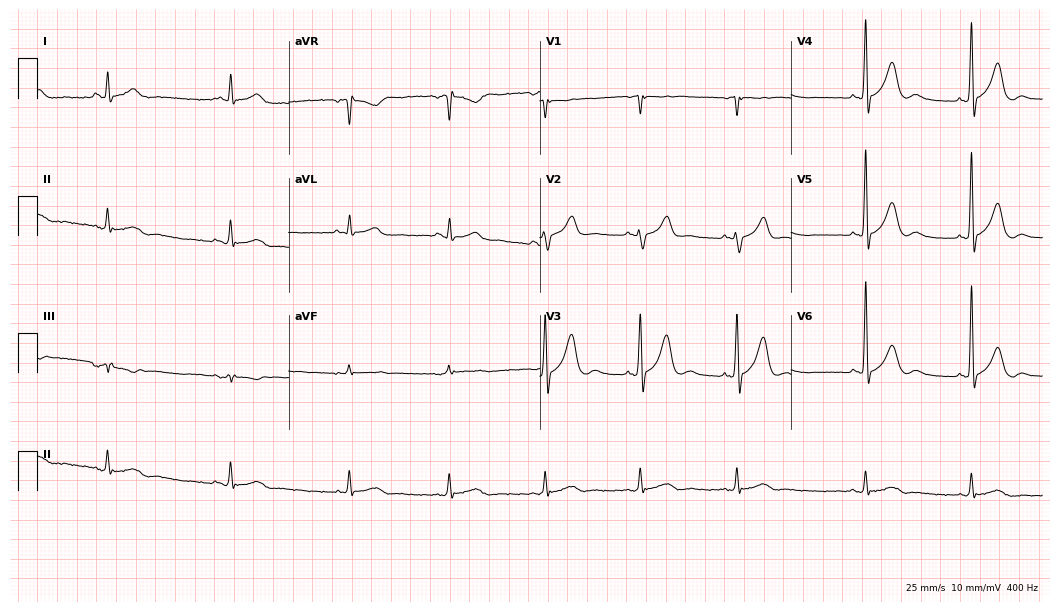
Resting 12-lead electrocardiogram (10.2-second recording at 400 Hz). Patient: a man, 75 years old. Read as a normal ECG.